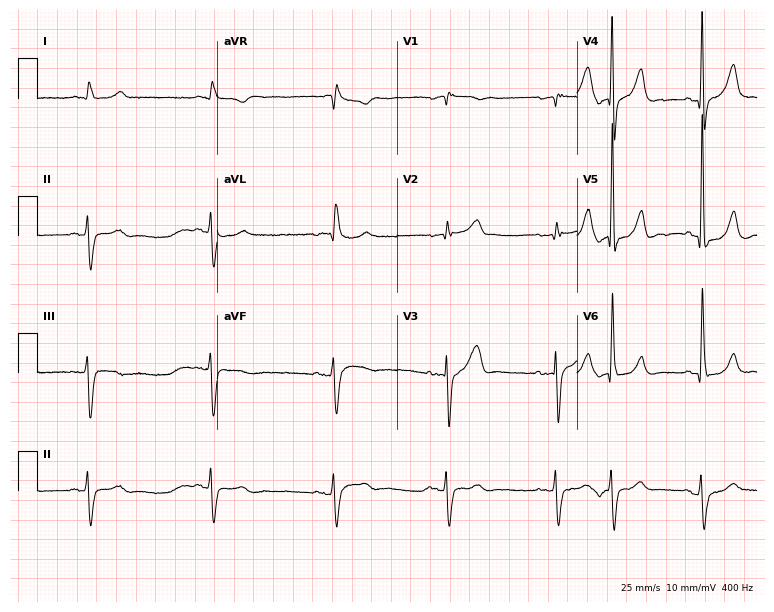
Standard 12-lead ECG recorded from an 85-year-old man. None of these six findings is recorded: first-degree AV block, right bundle branch block (RBBB), left bundle branch block (LBBB), sinus bradycardia, atrial fibrillation (AF), sinus tachycardia. Only these six findings were labelled.